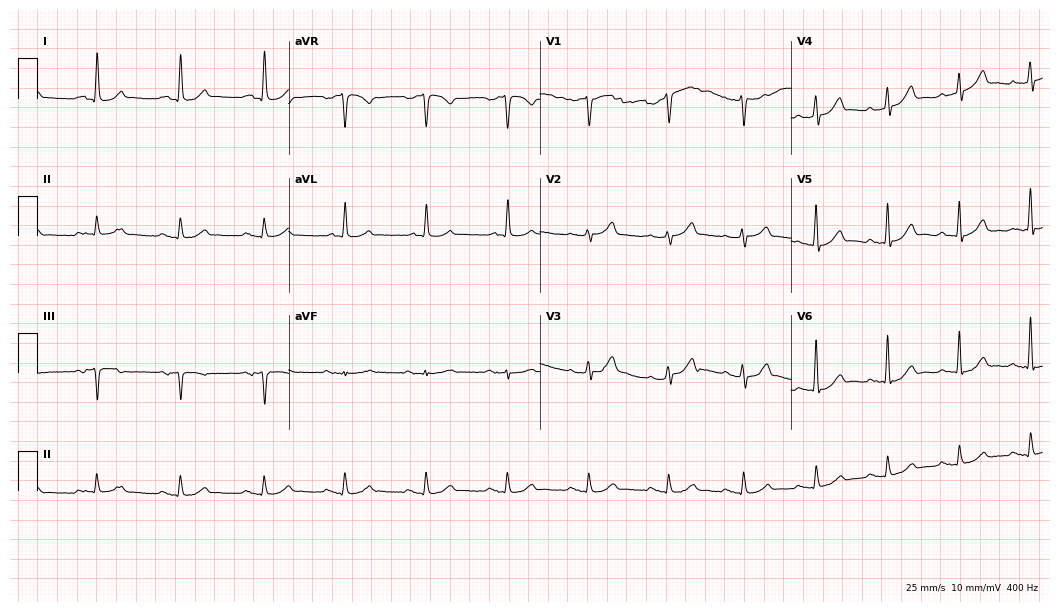
Electrocardiogram, a 68-year-old man. Overall reading on record: normal ECG.